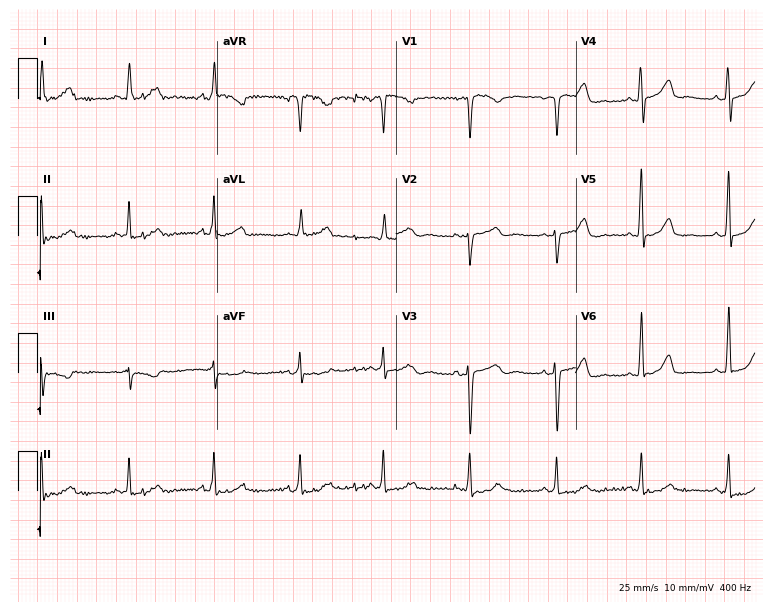
12-lead ECG (7.3-second recording at 400 Hz) from a 52-year-old female patient. Screened for six findings — first-degree AV block, right bundle branch block, left bundle branch block, sinus bradycardia, atrial fibrillation, sinus tachycardia — none is recorded.